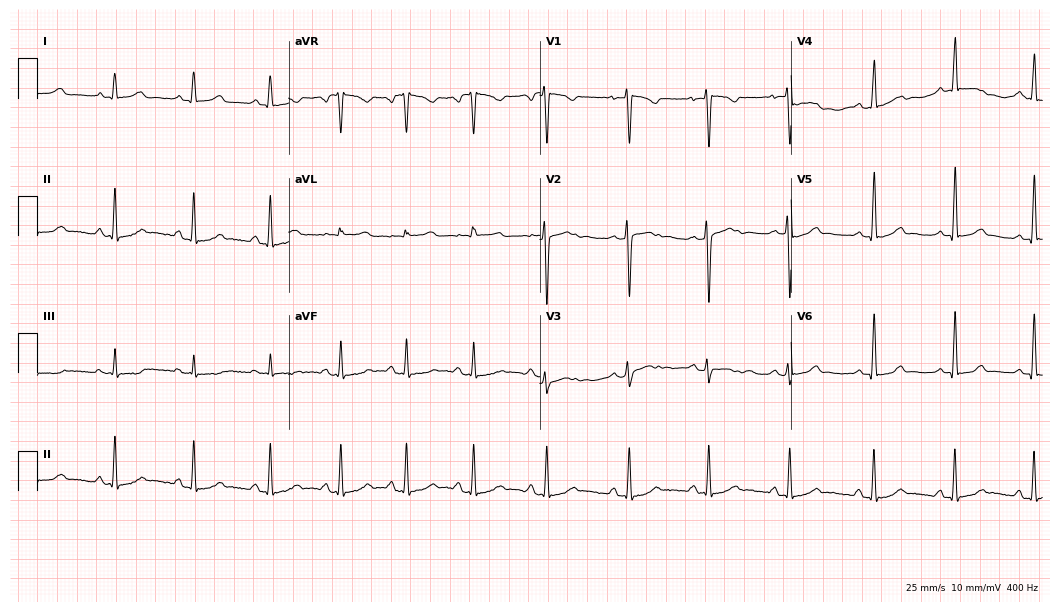
Electrocardiogram (10.2-second recording at 400 Hz), a woman, 25 years old. Overall reading on record: normal ECG.